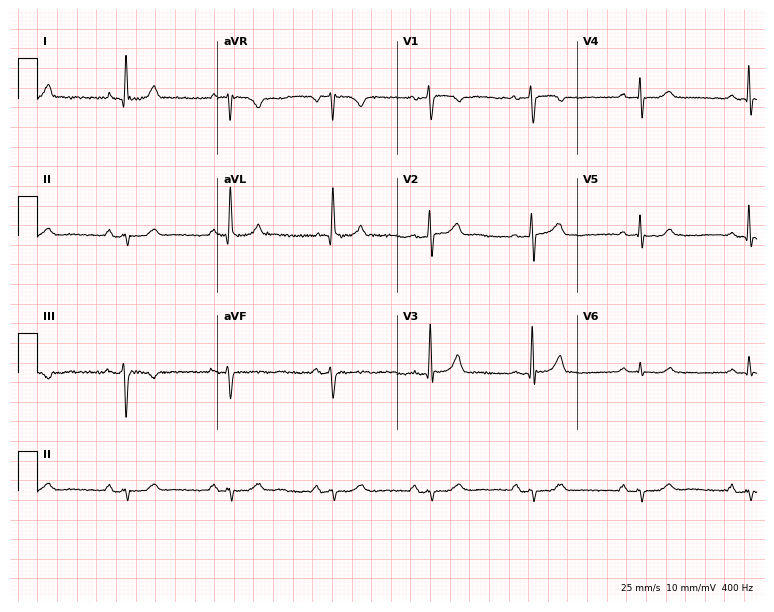
12-lead ECG from a 54-year-old woman. No first-degree AV block, right bundle branch block (RBBB), left bundle branch block (LBBB), sinus bradycardia, atrial fibrillation (AF) or sinus tachycardia recorded for this tracing.